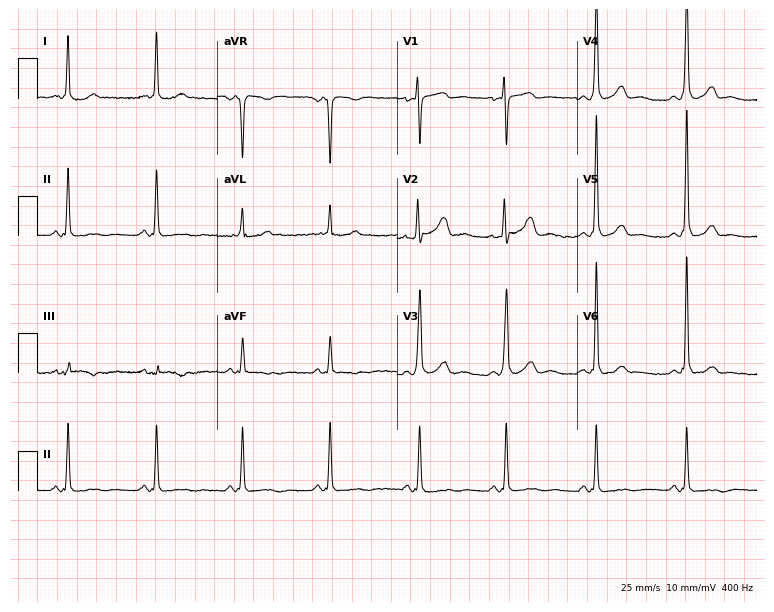
12-lead ECG from a 50-year-old female. No first-degree AV block, right bundle branch block, left bundle branch block, sinus bradycardia, atrial fibrillation or sinus tachycardia recorded for this tracing. Only these six findings were labelled.